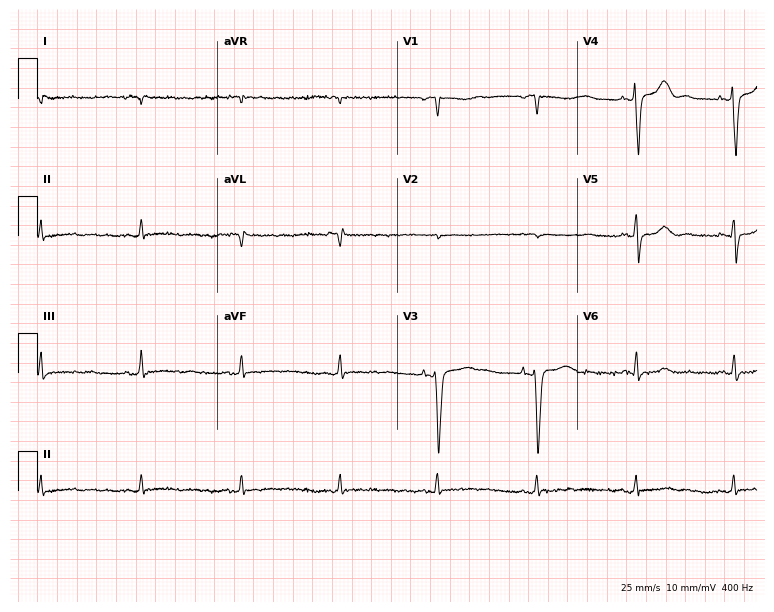
12-lead ECG from a 75-year-old man. No first-degree AV block, right bundle branch block (RBBB), left bundle branch block (LBBB), sinus bradycardia, atrial fibrillation (AF) or sinus tachycardia recorded for this tracing.